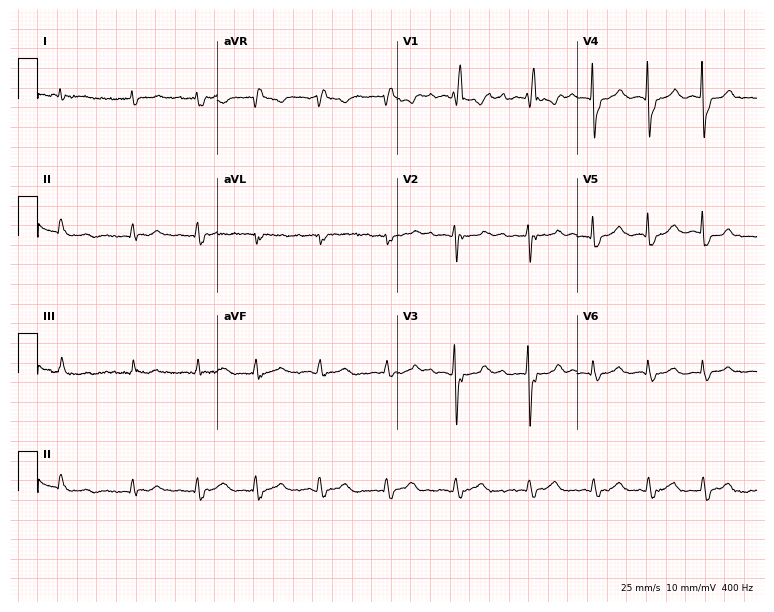
Resting 12-lead electrocardiogram (7.3-second recording at 400 Hz). Patient: a male, 68 years old. The tracing shows first-degree AV block, right bundle branch block.